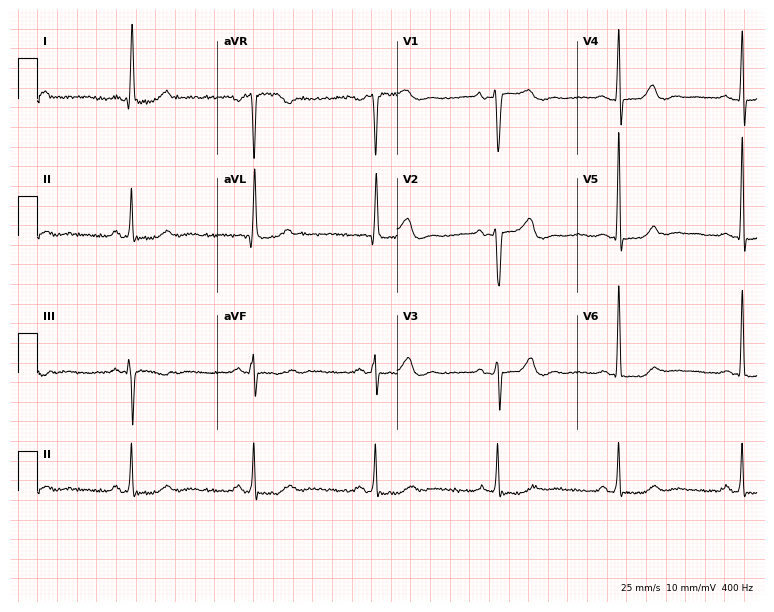
12-lead ECG from a female patient, 59 years old. Findings include sinus bradycardia (a sinus rate of 50 beats per minute or less).